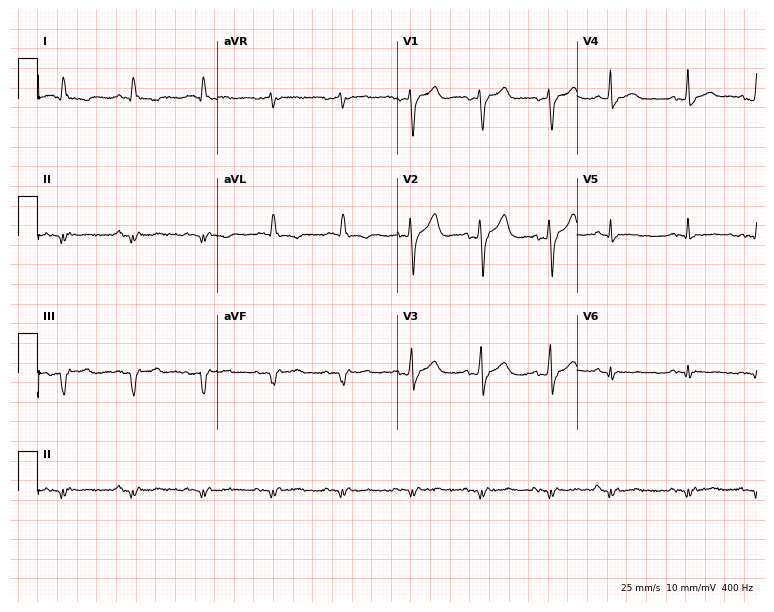
Resting 12-lead electrocardiogram (7.3-second recording at 400 Hz). Patient: a man, 64 years old. None of these six findings is recorded: first-degree AV block, right bundle branch block (RBBB), left bundle branch block (LBBB), sinus bradycardia, atrial fibrillation (AF), sinus tachycardia.